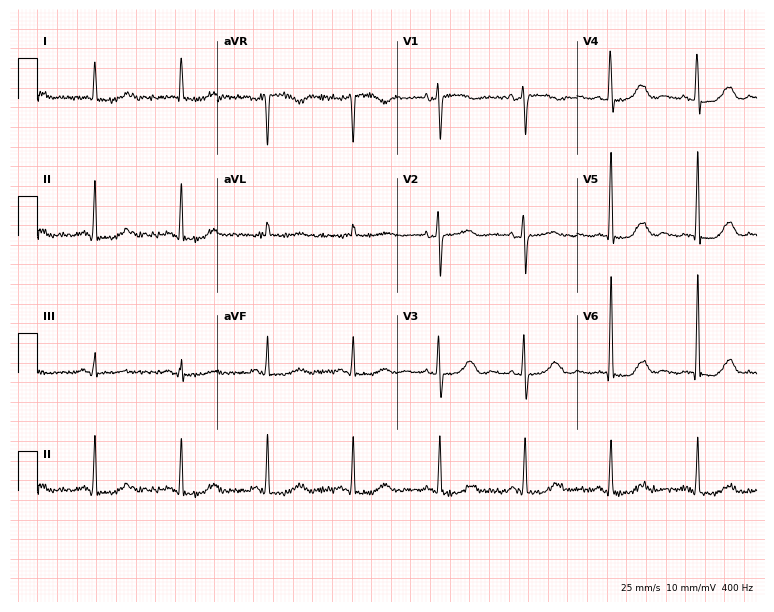
12-lead ECG from an 81-year-old female patient (7.3-second recording at 400 Hz). No first-degree AV block, right bundle branch block (RBBB), left bundle branch block (LBBB), sinus bradycardia, atrial fibrillation (AF) or sinus tachycardia recorded for this tracing.